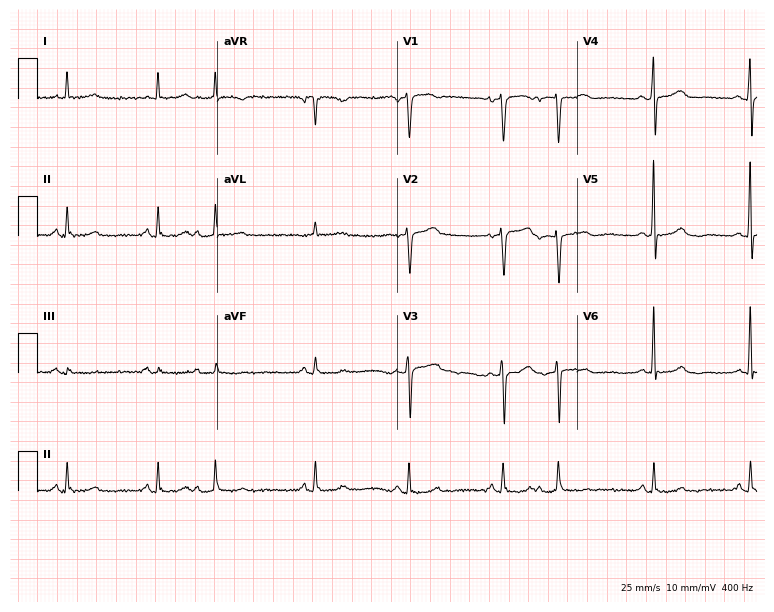
Electrocardiogram, a 72-year-old woman. Of the six screened findings (first-degree AV block, right bundle branch block (RBBB), left bundle branch block (LBBB), sinus bradycardia, atrial fibrillation (AF), sinus tachycardia), none is recorded.